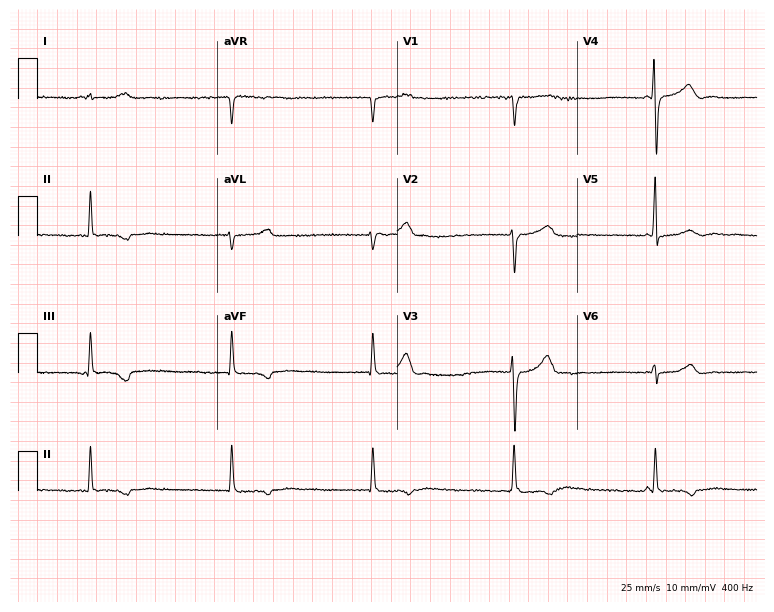
12-lead ECG (7.3-second recording at 400 Hz) from a female patient, 43 years old. Screened for six findings — first-degree AV block, right bundle branch block, left bundle branch block, sinus bradycardia, atrial fibrillation, sinus tachycardia — none is recorded. Other findings, if any, are not listed.